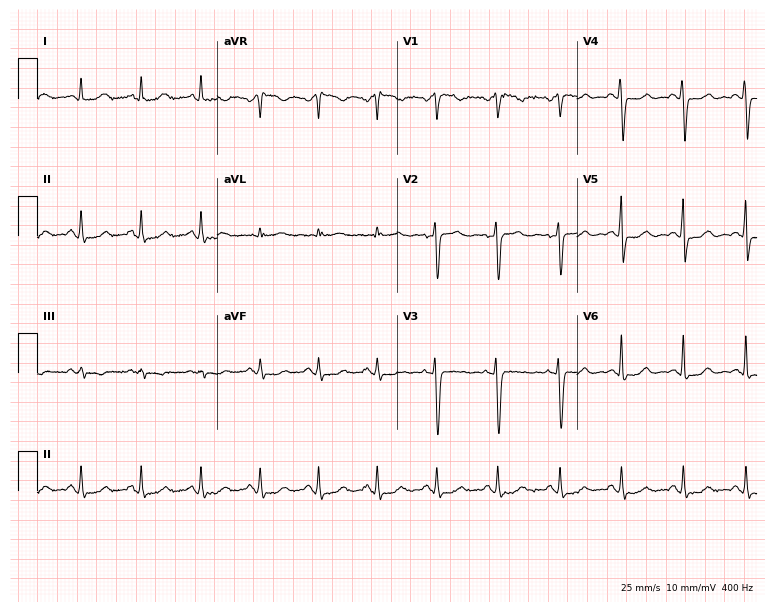
12-lead ECG from a 40-year-old female patient. Labelled as a normal ECG.